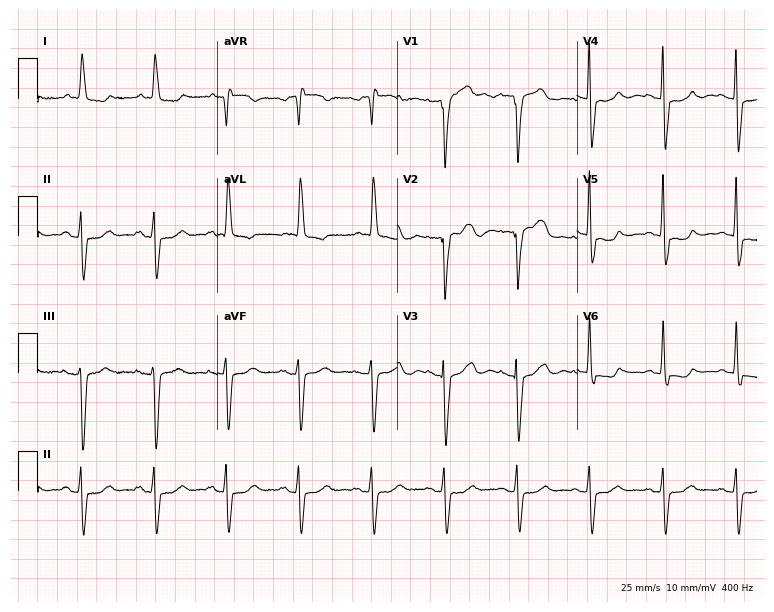
Resting 12-lead electrocardiogram (7.3-second recording at 400 Hz). Patient: a female, 74 years old. None of these six findings is recorded: first-degree AV block, right bundle branch block, left bundle branch block, sinus bradycardia, atrial fibrillation, sinus tachycardia.